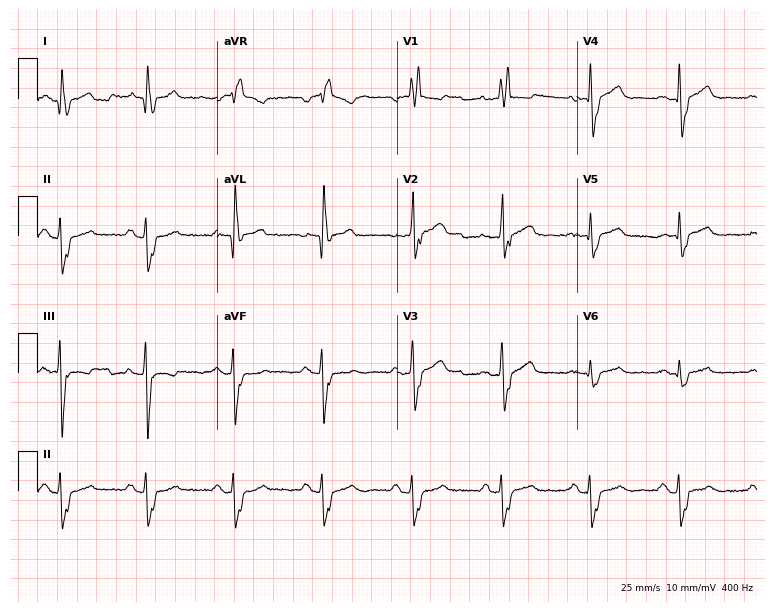
ECG (7.3-second recording at 400 Hz) — a 56-year-old man. Findings include right bundle branch block (RBBB).